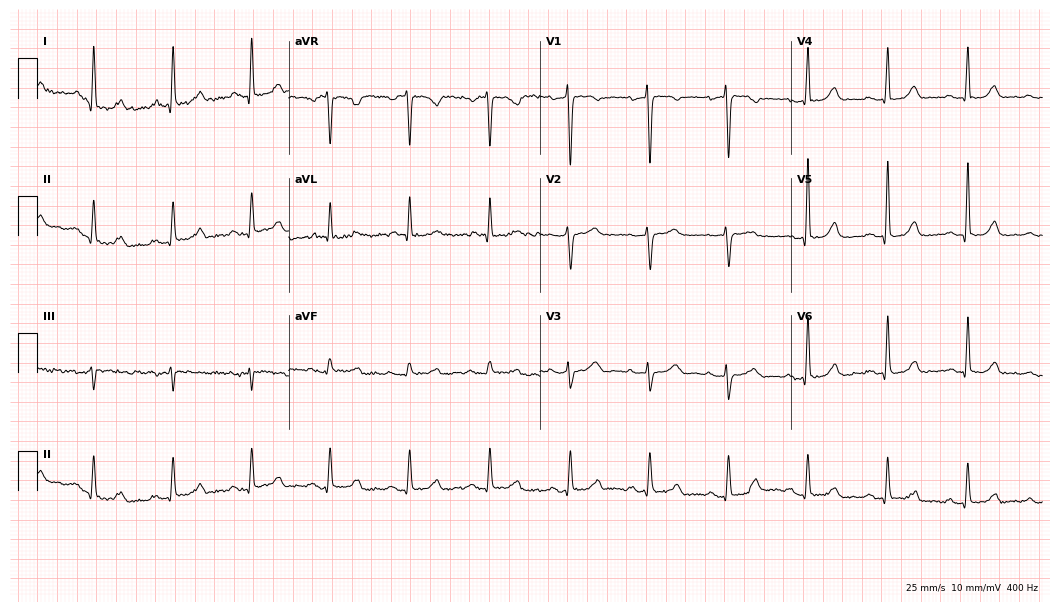
12-lead ECG (10.2-second recording at 400 Hz) from an 84-year-old female. Labelled as a normal ECG.